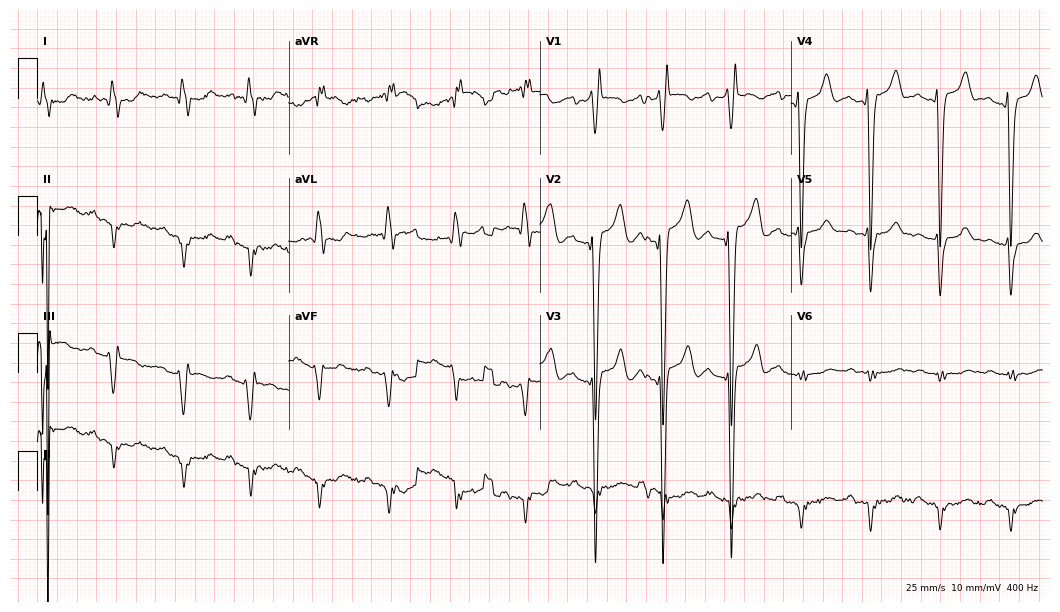
ECG (10.2-second recording at 400 Hz) — a 50-year-old male patient. Findings include first-degree AV block, right bundle branch block.